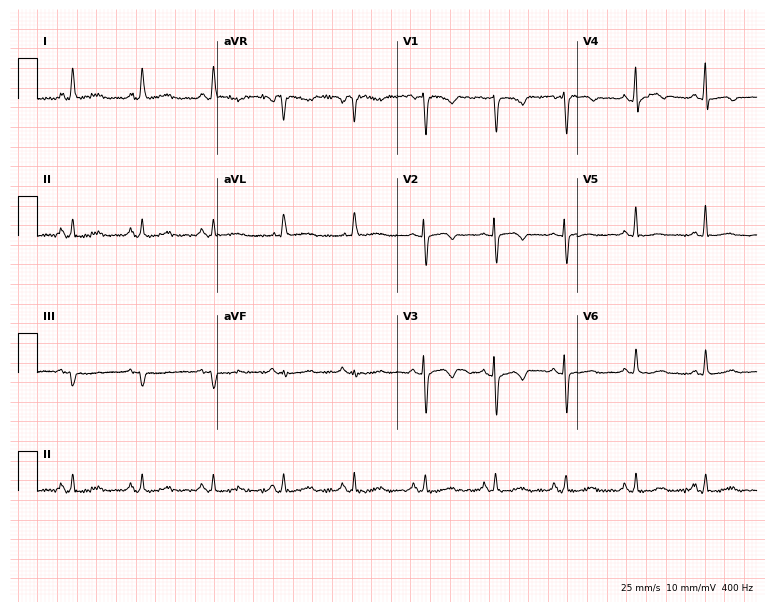
12-lead ECG from a woman, 56 years old (7.3-second recording at 400 Hz). No first-degree AV block, right bundle branch block (RBBB), left bundle branch block (LBBB), sinus bradycardia, atrial fibrillation (AF) or sinus tachycardia recorded for this tracing. Findings outside these six are not listed.